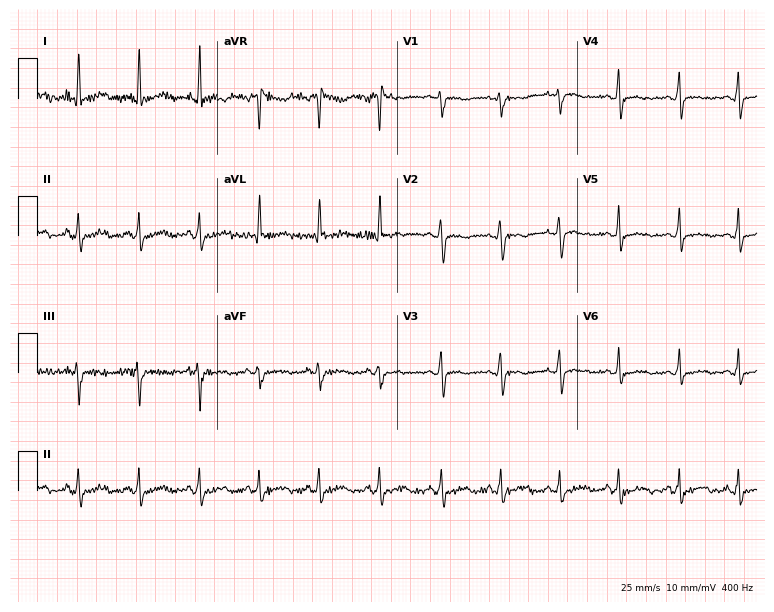
12-lead ECG (7.3-second recording at 400 Hz) from a 25-year-old woman. Screened for six findings — first-degree AV block, right bundle branch block, left bundle branch block, sinus bradycardia, atrial fibrillation, sinus tachycardia — none is recorded.